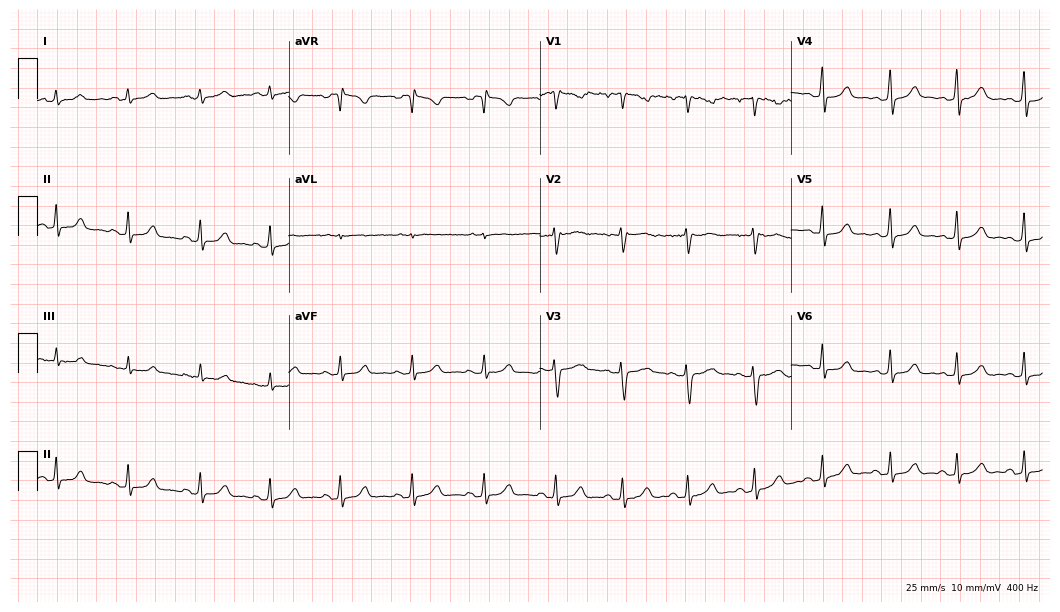
12-lead ECG from a 37-year-old female. No first-degree AV block, right bundle branch block, left bundle branch block, sinus bradycardia, atrial fibrillation or sinus tachycardia recorded for this tracing. Only these six findings were labelled.